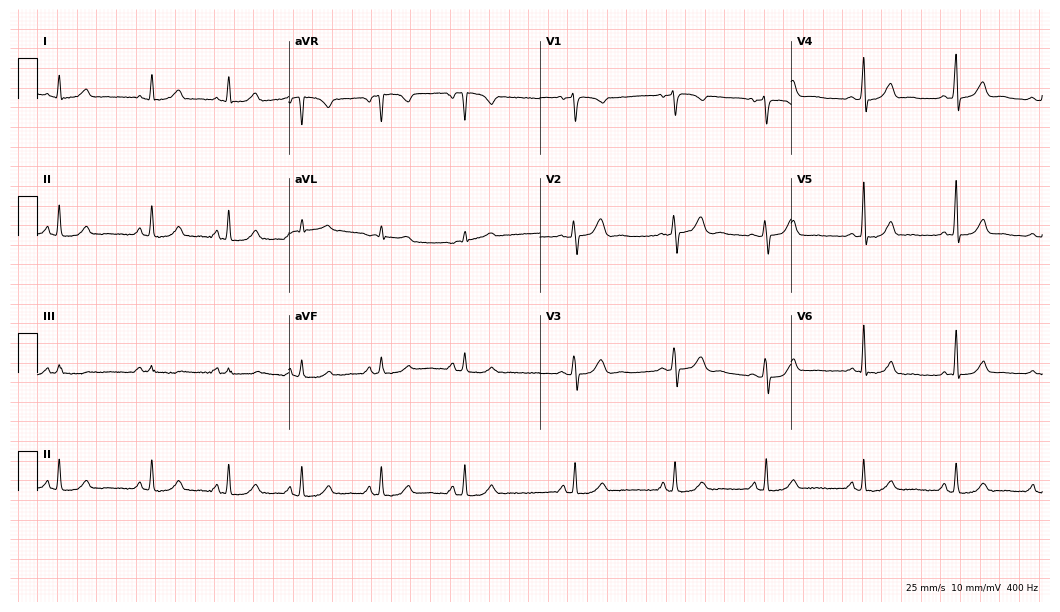
ECG (10.2-second recording at 400 Hz) — a 54-year-old female. Screened for six findings — first-degree AV block, right bundle branch block, left bundle branch block, sinus bradycardia, atrial fibrillation, sinus tachycardia — none is recorded. Only these six findings were labelled.